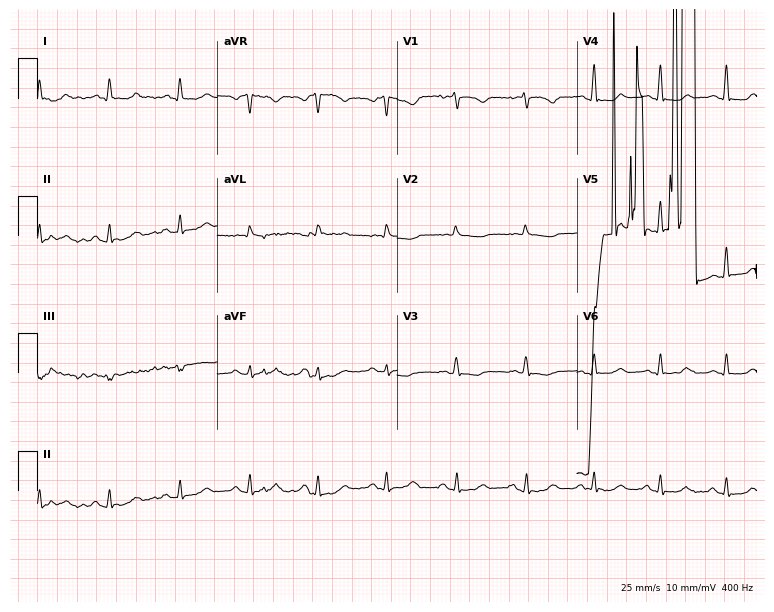
Resting 12-lead electrocardiogram. Patient: a 41-year-old woman. None of these six findings is recorded: first-degree AV block, right bundle branch block, left bundle branch block, sinus bradycardia, atrial fibrillation, sinus tachycardia. Other findings, if any, are not listed.